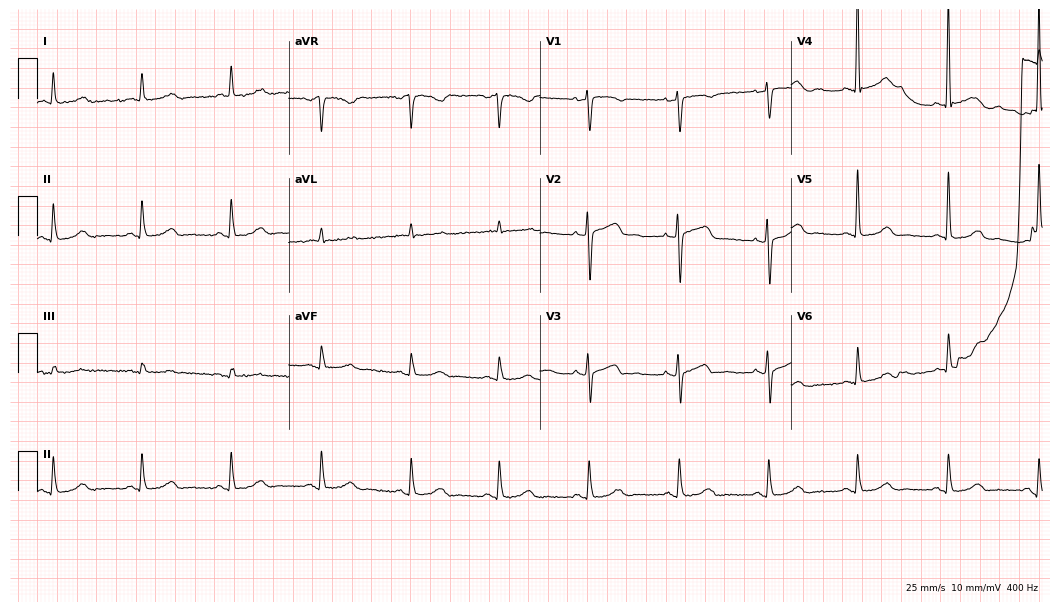
Standard 12-lead ECG recorded from a 79-year-old woman. None of these six findings is recorded: first-degree AV block, right bundle branch block (RBBB), left bundle branch block (LBBB), sinus bradycardia, atrial fibrillation (AF), sinus tachycardia. Other findings, if any, are not listed.